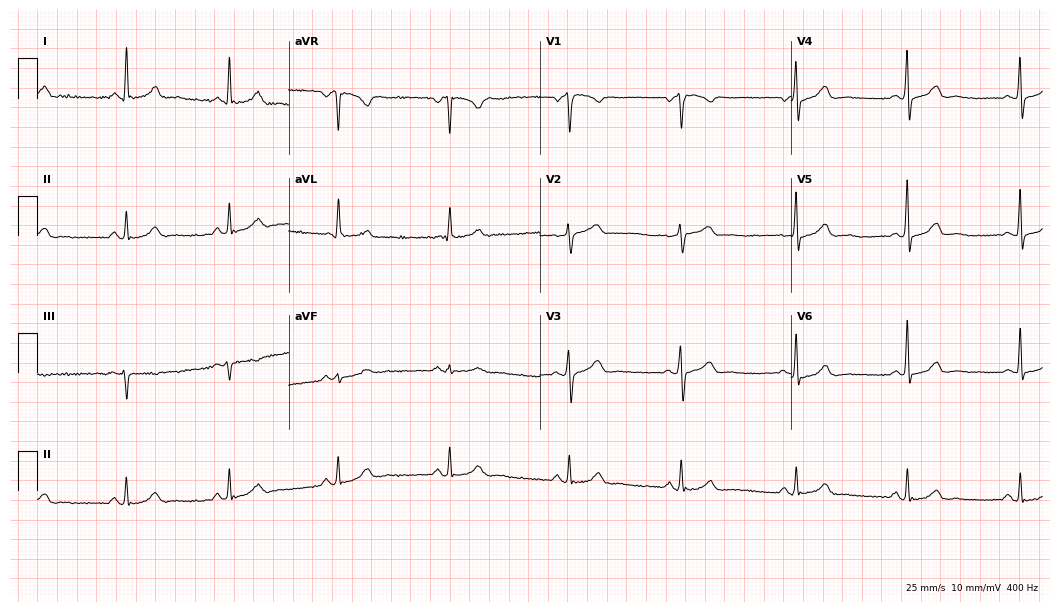
ECG — a 52-year-old female patient. Labelled as a normal ECG.